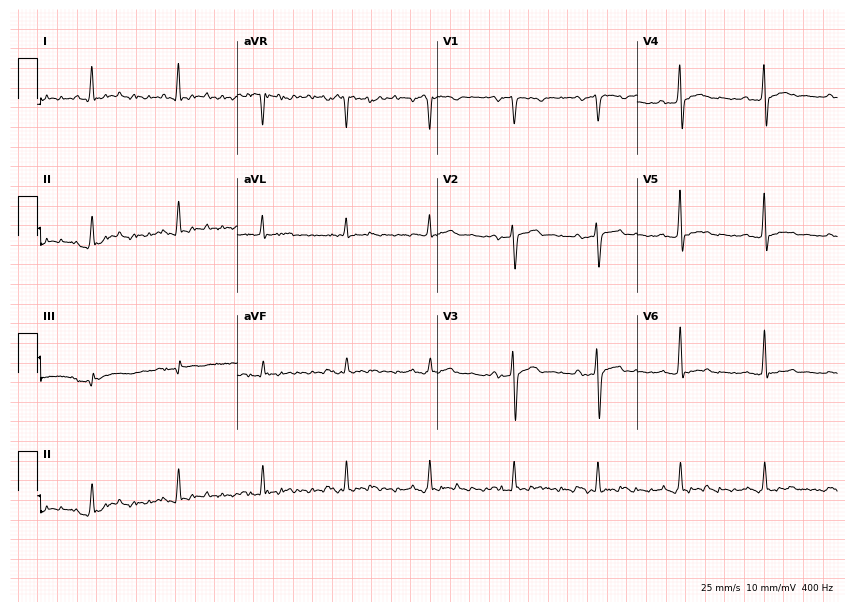
Electrocardiogram, a man, 51 years old. Of the six screened findings (first-degree AV block, right bundle branch block (RBBB), left bundle branch block (LBBB), sinus bradycardia, atrial fibrillation (AF), sinus tachycardia), none is recorded. Only these six findings were labelled.